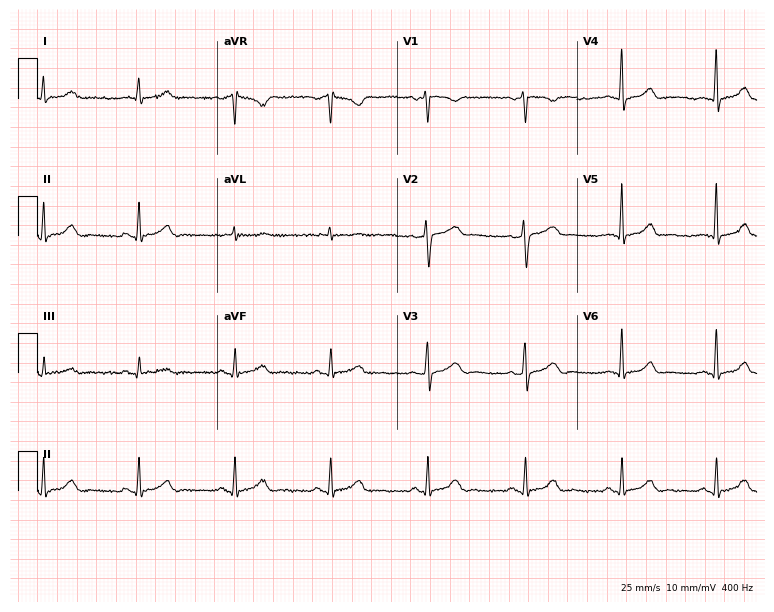
12-lead ECG (7.3-second recording at 400 Hz) from a 51-year-old female. Labelled as a normal ECG.